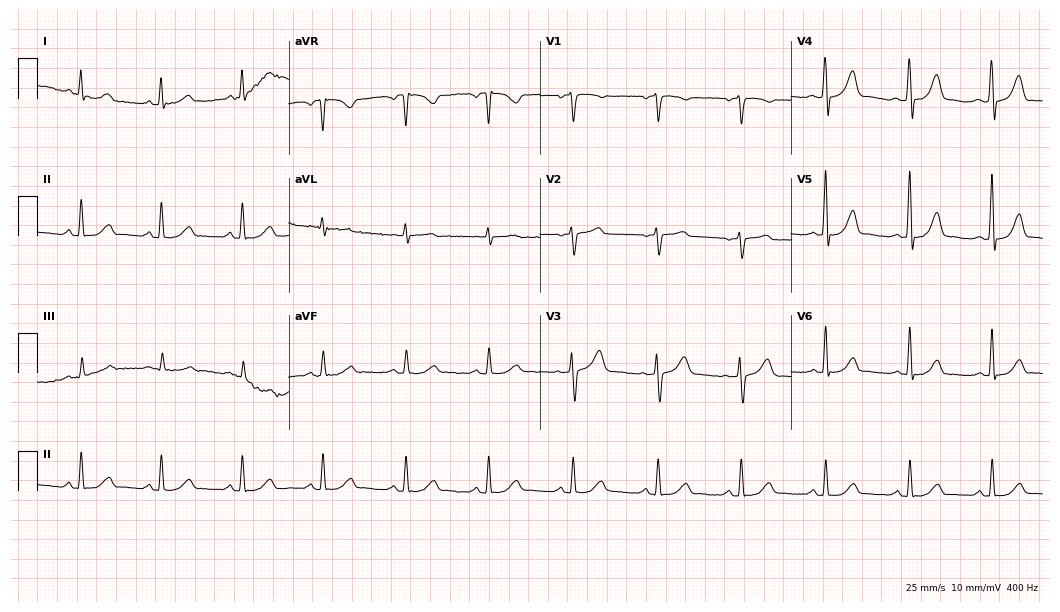
Electrocardiogram, a female patient, 37 years old. Overall reading on record: normal ECG.